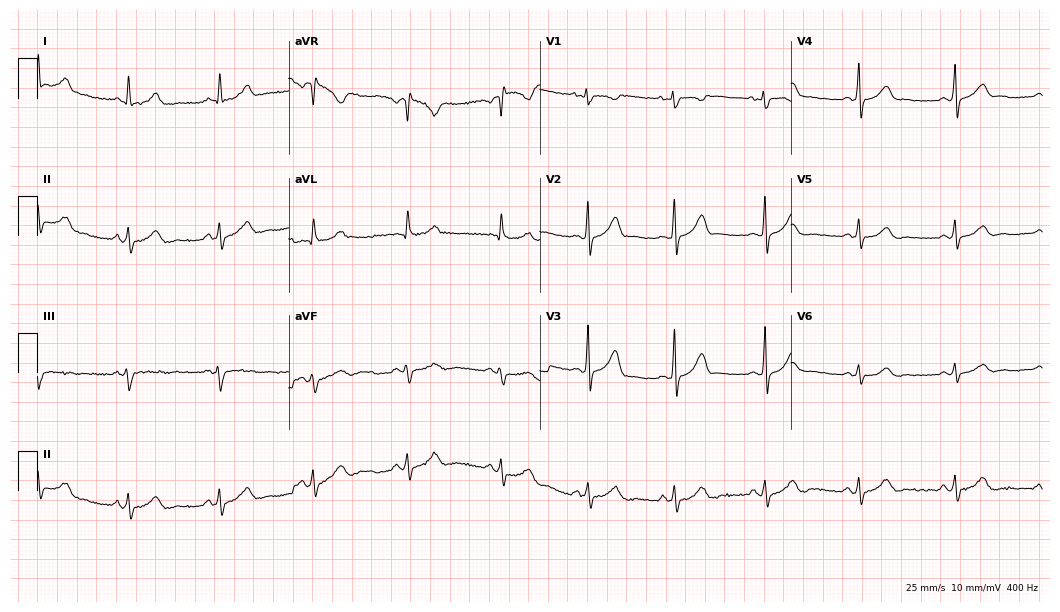
Resting 12-lead electrocardiogram. Patient: a female, 35 years old. Read as a normal ECG.